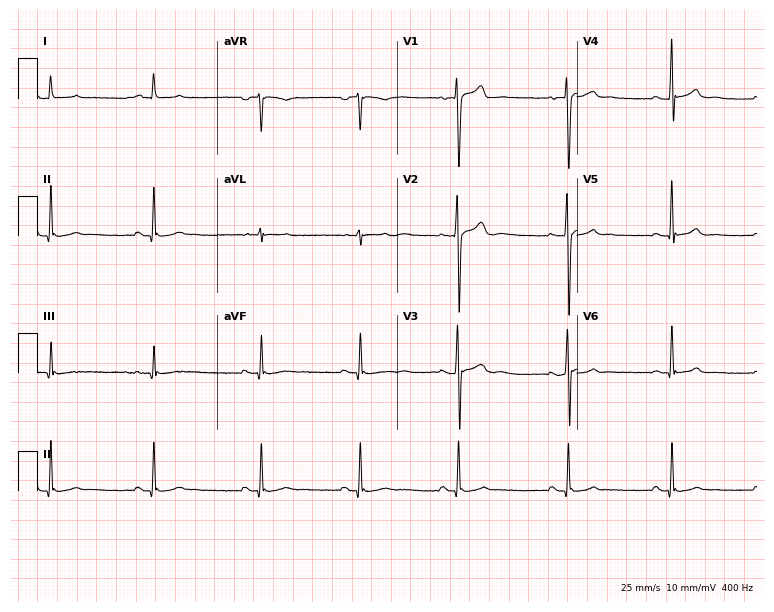
12-lead ECG from a 21-year-old male patient. Labelled as a normal ECG.